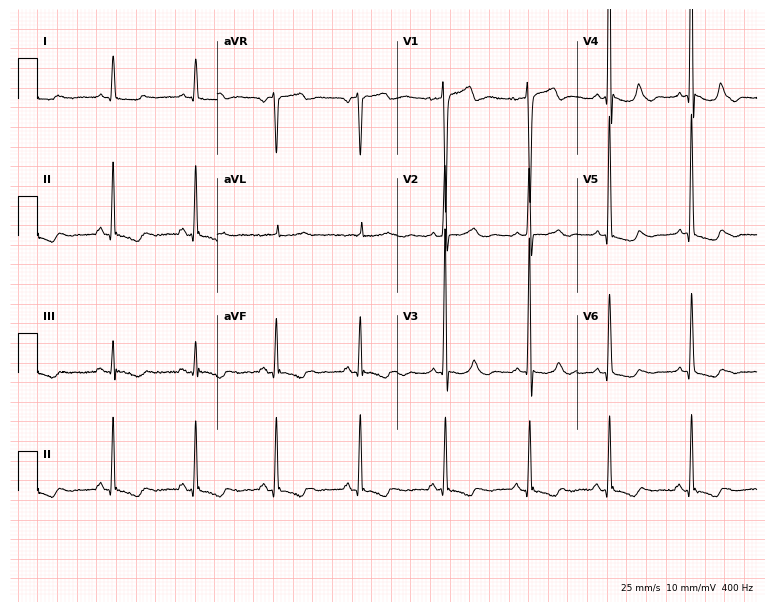
12-lead ECG (7.3-second recording at 400 Hz) from a 55-year-old female patient. Screened for six findings — first-degree AV block, right bundle branch block, left bundle branch block, sinus bradycardia, atrial fibrillation, sinus tachycardia — none is recorded.